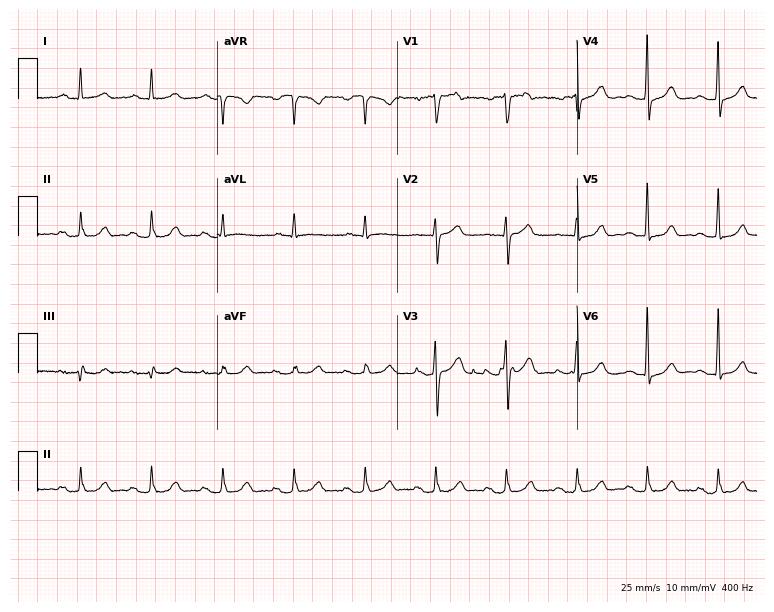
Resting 12-lead electrocardiogram. Patient: a man, 67 years old. Read as a normal ECG.